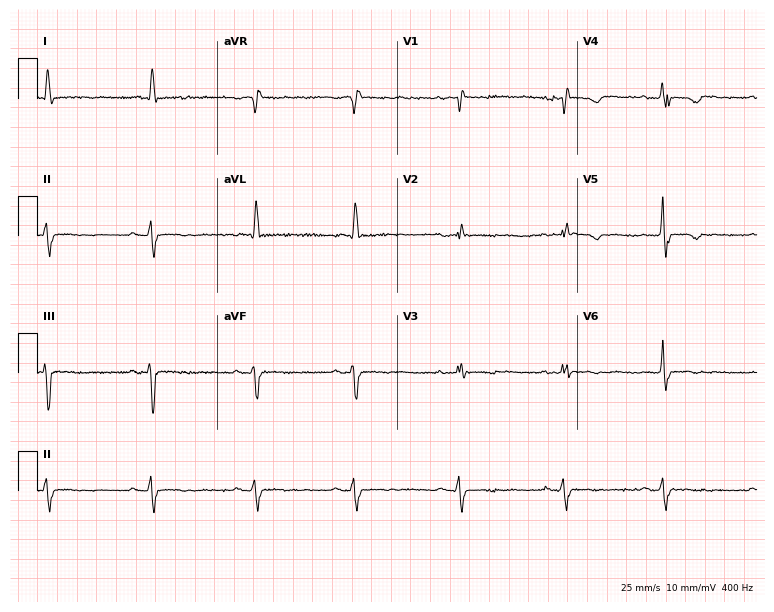
12-lead ECG from a 51-year-old female (7.3-second recording at 400 Hz). No first-degree AV block, right bundle branch block, left bundle branch block, sinus bradycardia, atrial fibrillation or sinus tachycardia recorded for this tracing.